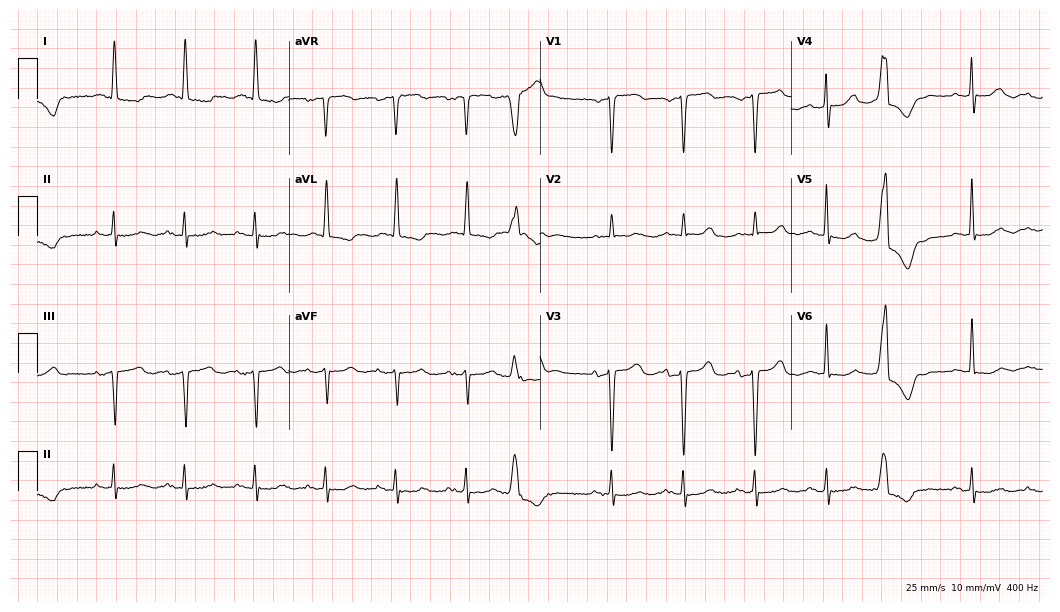
Electrocardiogram (10.2-second recording at 400 Hz), a female patient, 75 years old. Overall reading on record: normal ECG.